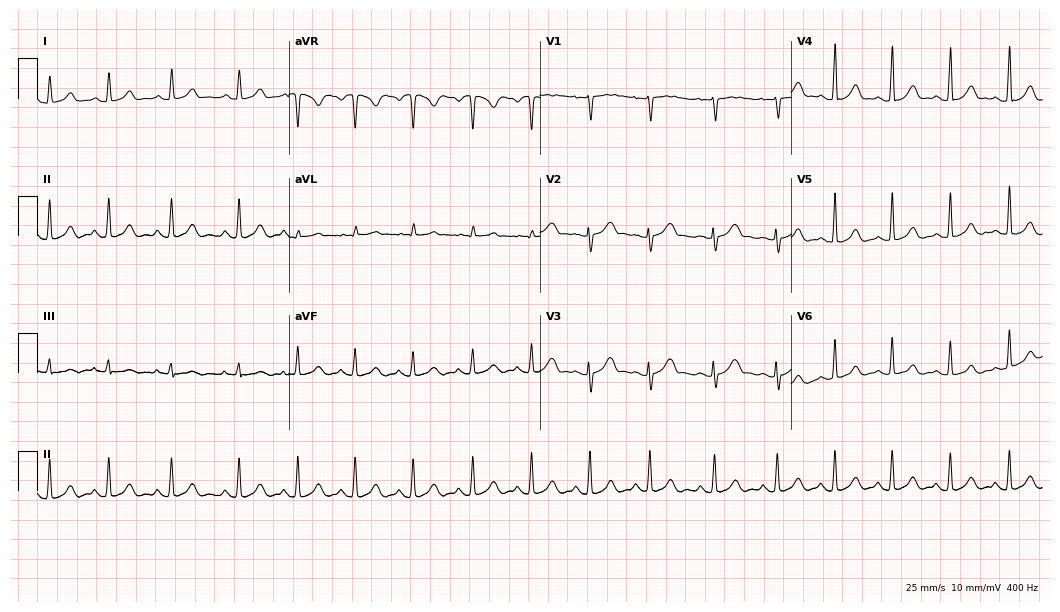
ECG (10.2-second recording at 400 Hz) — a female, 18 years old. Screened for six findings — first-degree AV block, right bundle branch block, left bundle branch block, sinus bradycardia, atrial fibrillation, sinus tachycardia — none is recorded.